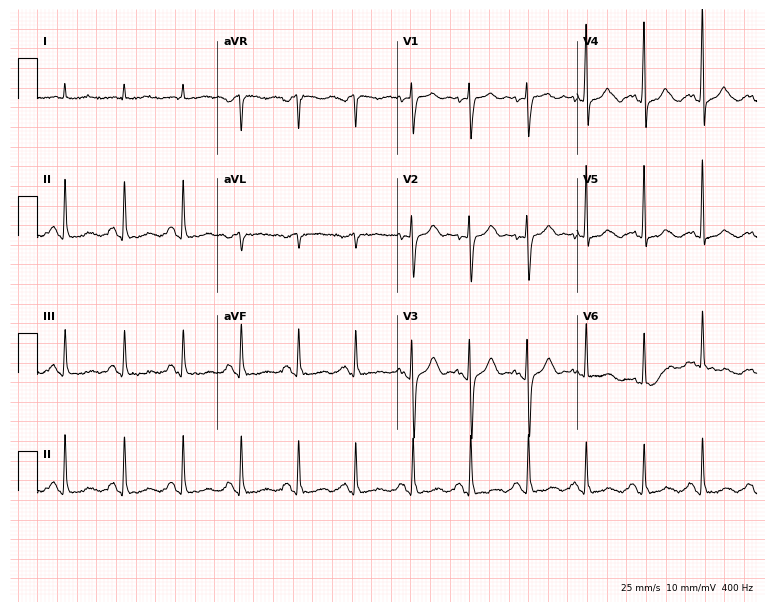
ECG (7.3-second recording at 400 Hz) — a 76-year-old female patient. Screened for six findings — first-degree AV block, right bundle branch block, left bundle branch block, sinus bradycardia, atrial fibrillation, sinus tachycardia — none is recorded. Only these six findings were labelled.